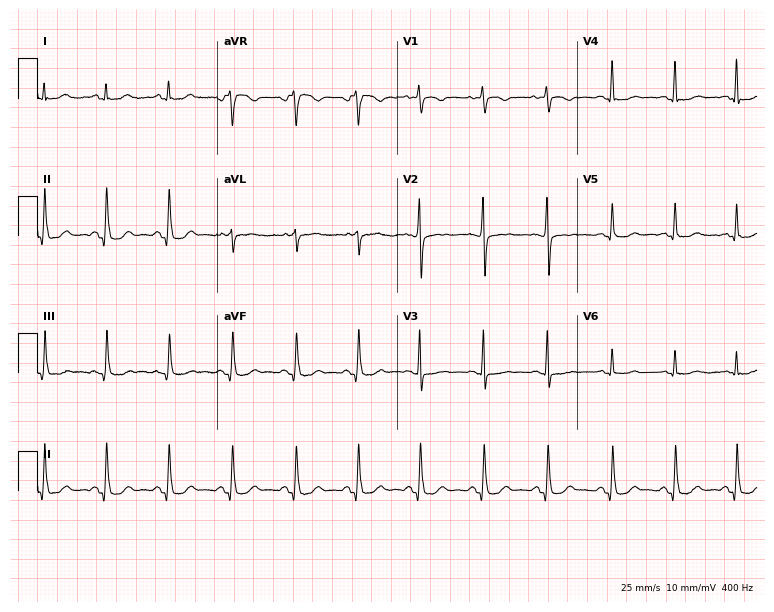
Resting 12-lead electrocardiogram (7.3-second recording at 400 Hz). Patient: a 19-year-old female. None of these six findings is recorded: first-degree AV block, right bundle branch block (RBBB), left bundle branch block (LBBB), sinus bradycardia, atrial fibrillation (AF), sinus tachycardia.